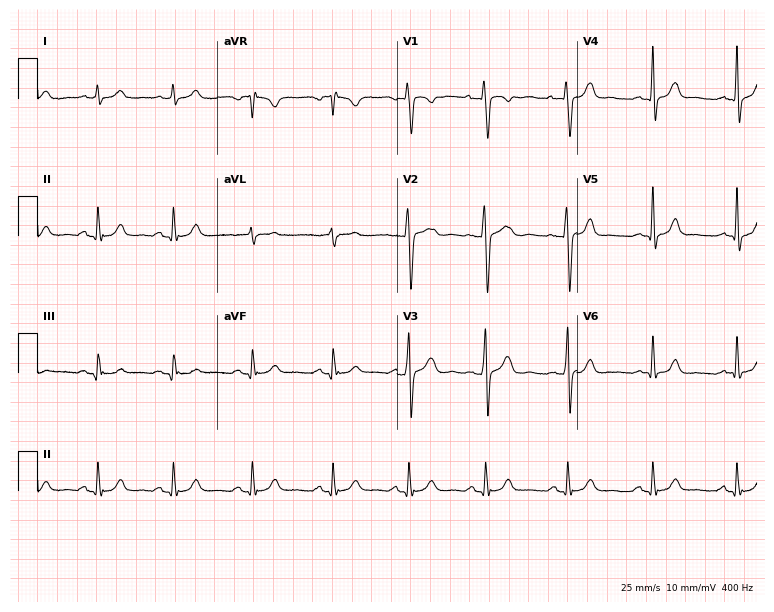
ECG (7.3-second recording at 400 Hz) — an 82-year-old female patient. Screened for six findings — first-degree AV block, right bundle branch block (RBBB), left bundle branch block (LBBB), sinus bradycardia, atrial fibrillation (AF), sinus tachycardia — none is recorded. Findings outside these six are not listed.